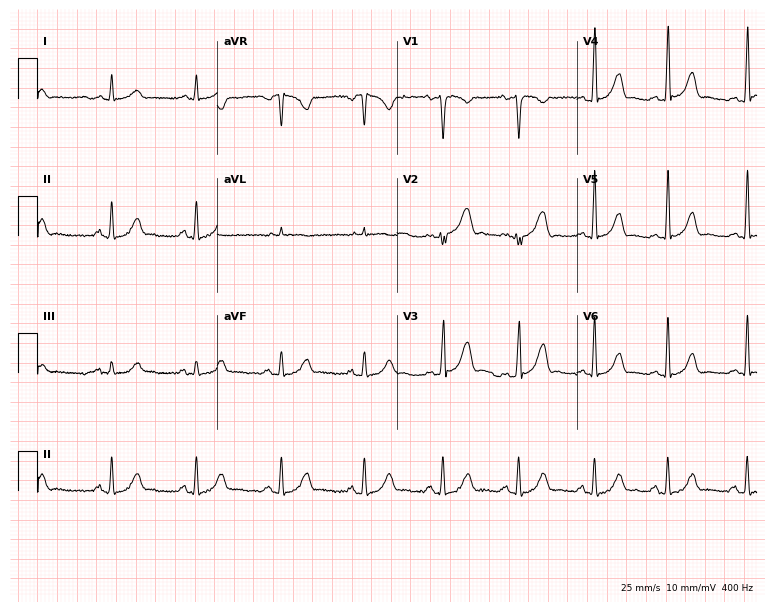
12-lead ECG from a woman, 33 years old (7.3-second recording at 400 Hz). No first-degree AV block, right bundle branch block, left bundle branch block, sinus bradycardia, atrial fibrillation or sinus tachycardia recorded for this tracing.